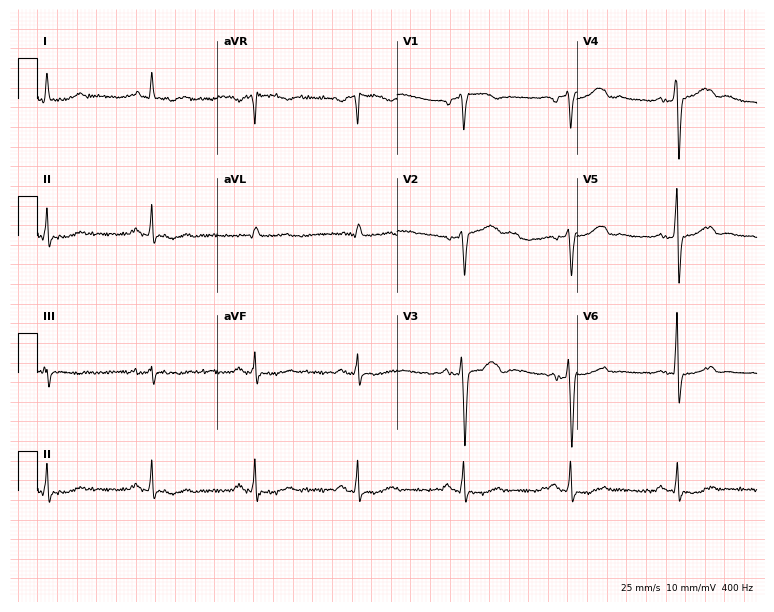
Resting 12-lead electrocardiogram (7.3-second recording at 400 Hz). Patient: a man, 49 years old. None of these six findings is recorded: first-degree AV block, right bundle branch block (RBBB), left bundle branch block (LBBB), sinus bradycardia, atrial fibrillation (AF), sinus tachycardia.